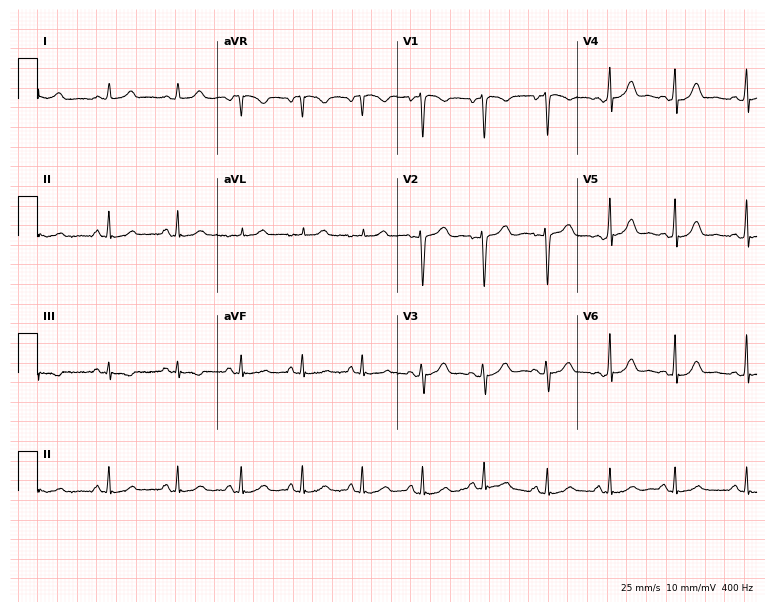
Standard 12-lead ECG recorded from a woman, 23 years old (7.3-second recording at 400 Hz). None of these six findings is recorded: first-degree AV block, right bundle branch block (RBBB), left bundle branch block (LBBB), sinus bradycardia, atrial fibrillation (AF), sinus tachycardia. Other findings, if any, are not listed.